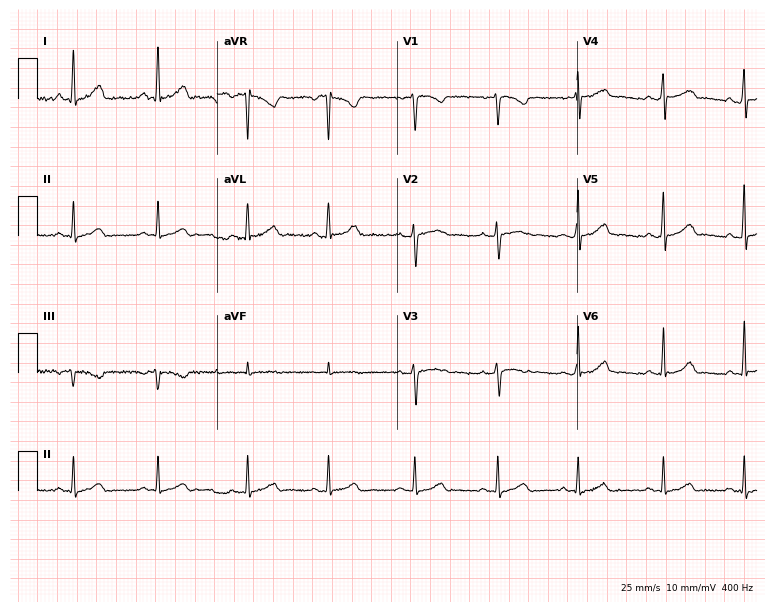
12-lead ECG from a female patient, 43 years old. Labelled as a normal ECG.